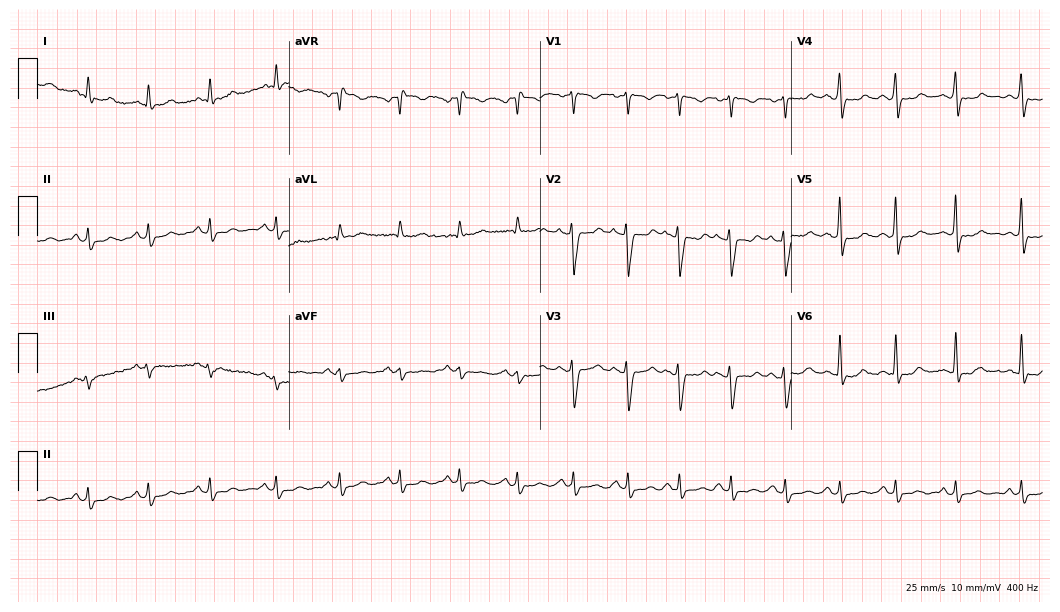
Standard 12-lead ECG recorded from a 24-year-old woman (10.2-second recording at 400 Hz). Read as a normal ECG.